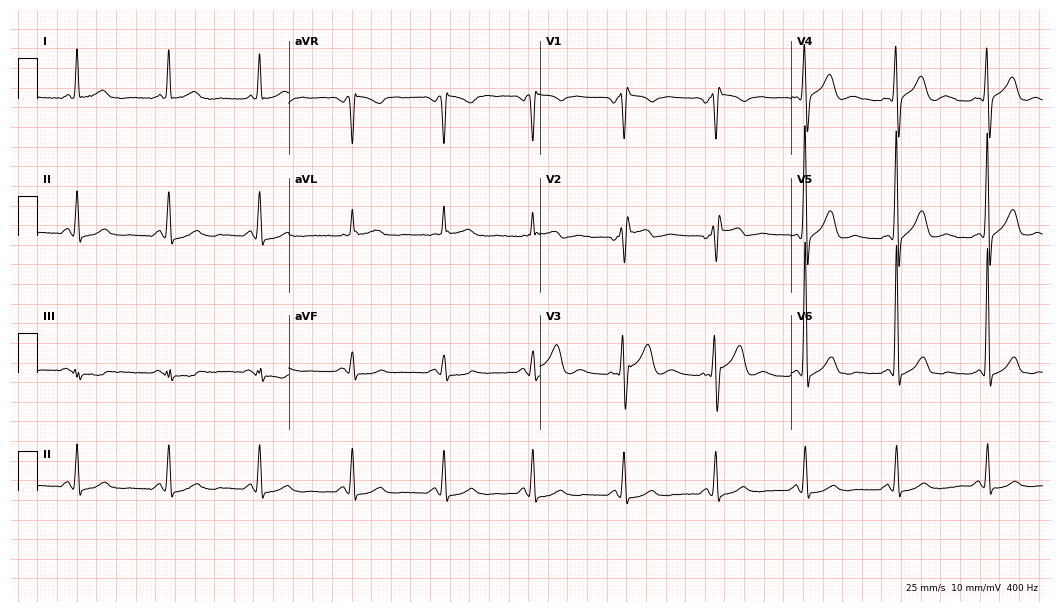
Standard 12-lead ECG recorded from a man, 67 years old (10.2-second recording at 400 Hz). None of these six findings is recorded: first-degree AV block, right bundle branch block, left bundle branch block, sinus bradycardia, atrial fibrillation, sinus tachycardia. Findings outside these six are not listed.